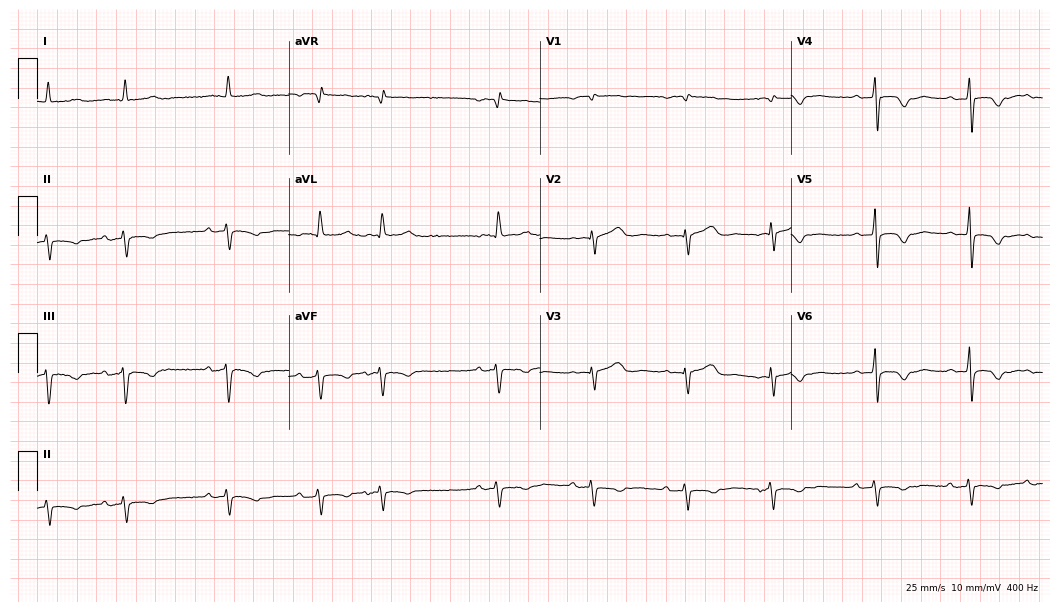
Resting 12-lead electrocardiogram (10.2-second recording at 400 Hz). Patient: an 83-year-old female. None of these six findings is recorded: first-degree AV block, right bundle branch block (RBBB), left bundle branch block (LBBB), sinus bradycardia, atrial fibrillation (AF), sinus tachycardia.